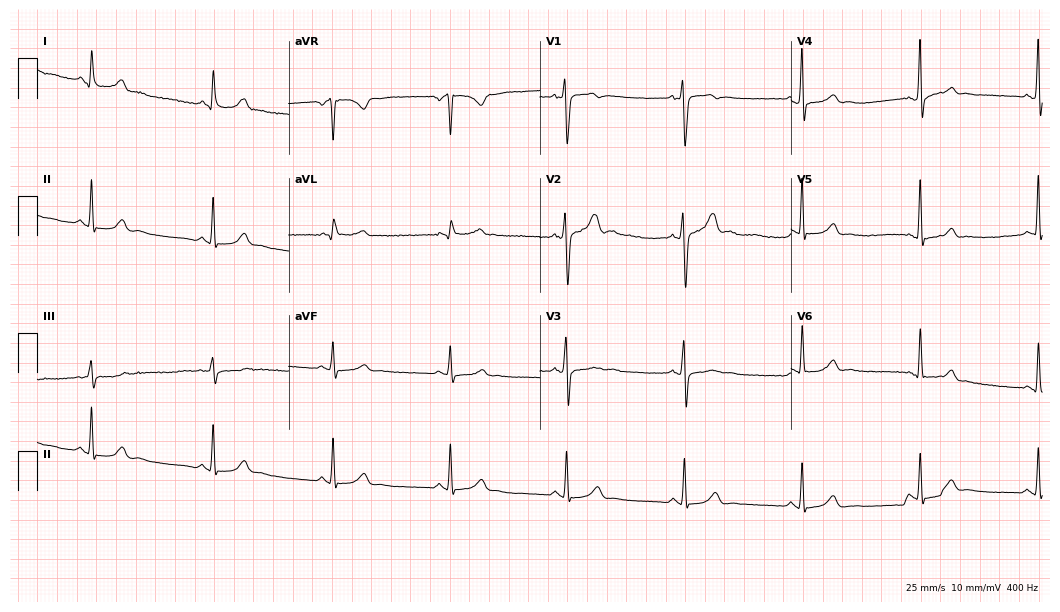
12-lead ECG (10.2-second recording at 400 Hz) from a 26-year-old man. Screened for six findings — first-degree AV block, right bundle branch block, left bundle branch block, sinus bradycardia, atrial fibrillation, sinus tachycardia — none is recorded. Other findings, if any, are not listed.